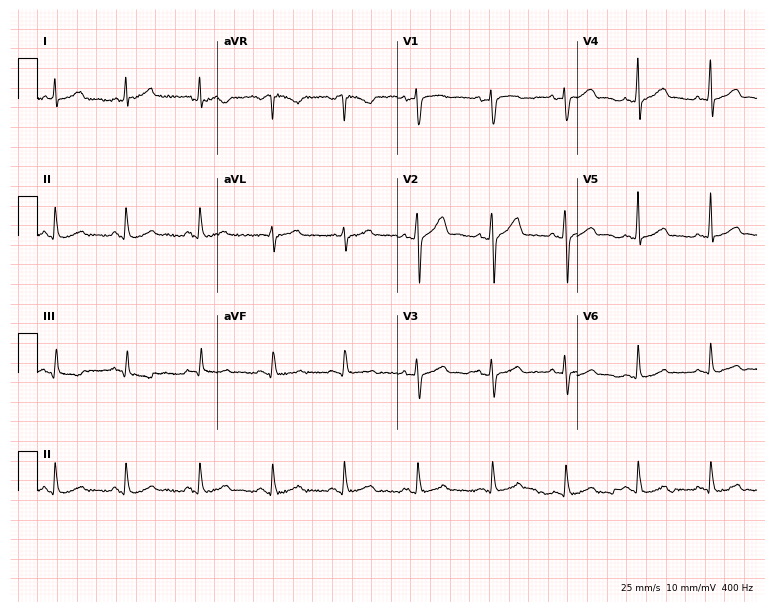
Electrocardiogram, a 54-year-old male. Overall reading on record: normal ECG.